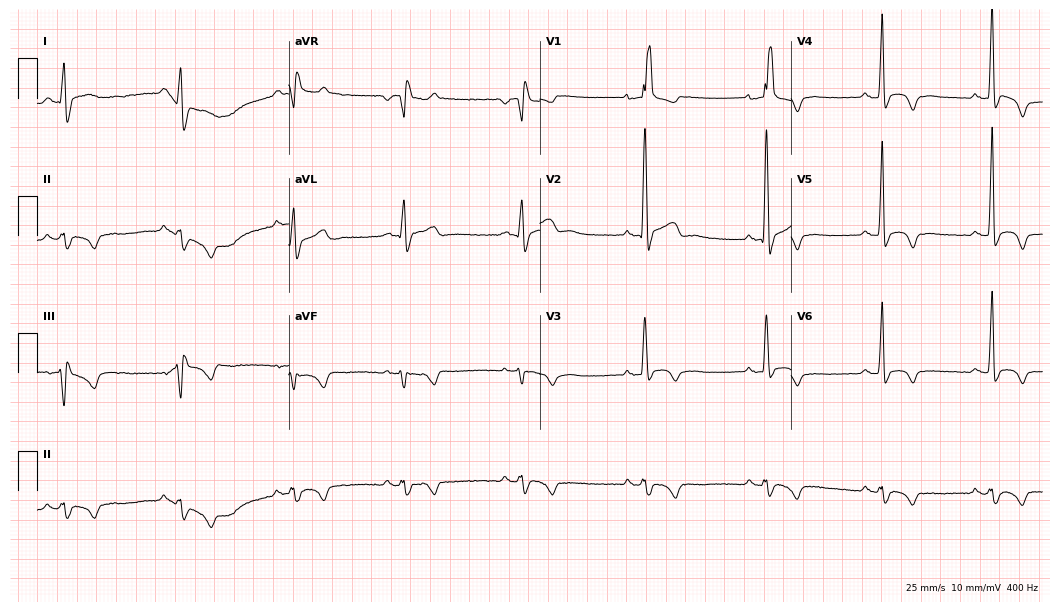
12-lead ECG from a male patient, 40 years old (10.2-second recording at 400 Hz). Shows right bundle branch block, left bundle branch block.